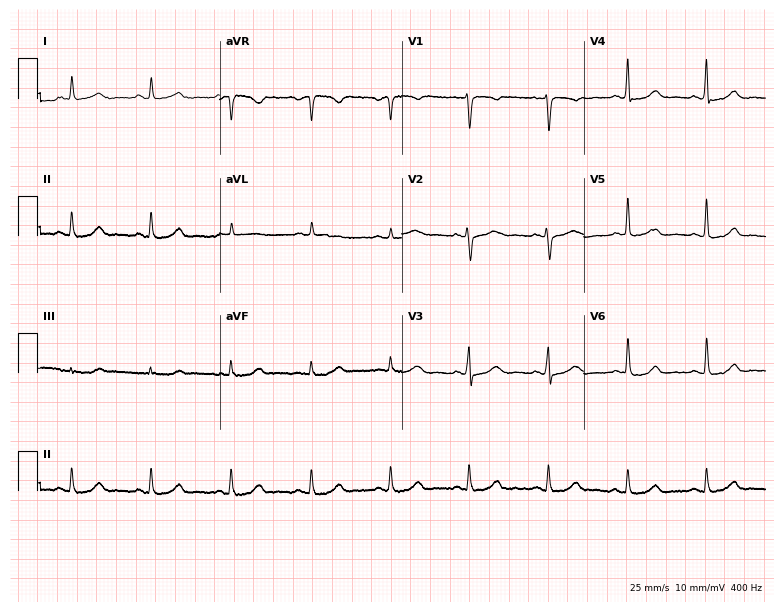
12-lead ECG from a 57-year-old woman. Recorded interpretation: within normal limits.